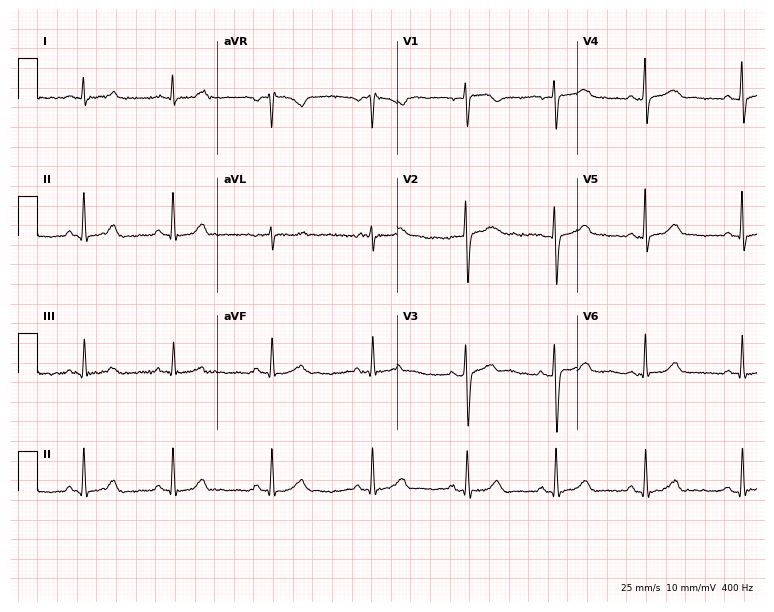
12-lead ECG from a female, 25 years old (7.3-second recording at 400 Hz). Recorded interpretation: within normal limits.